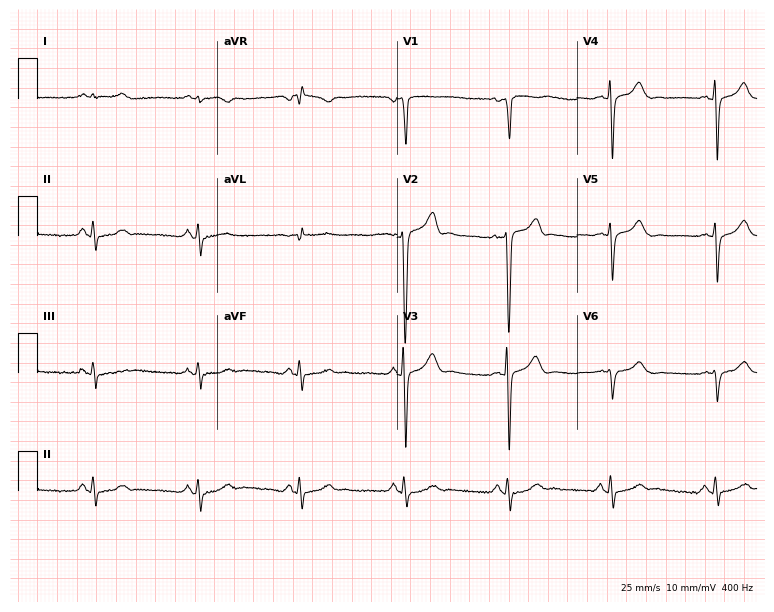
12-lead ECG from a 55-year-old man. Screened for six findings — first-degree AV block, right bundle branch block, left bundle branch block, sinus bradycardia, atrial fibrillation, sinus tachycardia — none is recorded.